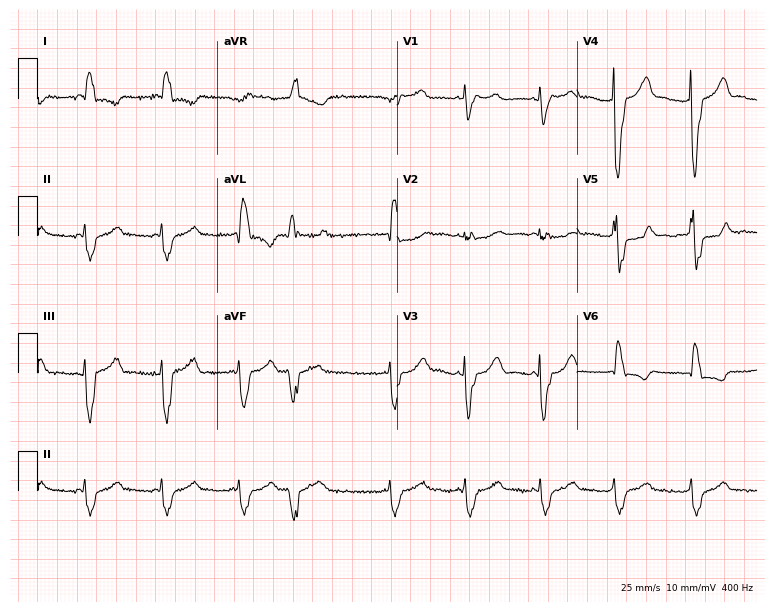
ECG — a 75-year-old man. Findings include left bundle branch block, atrial fibrillation.